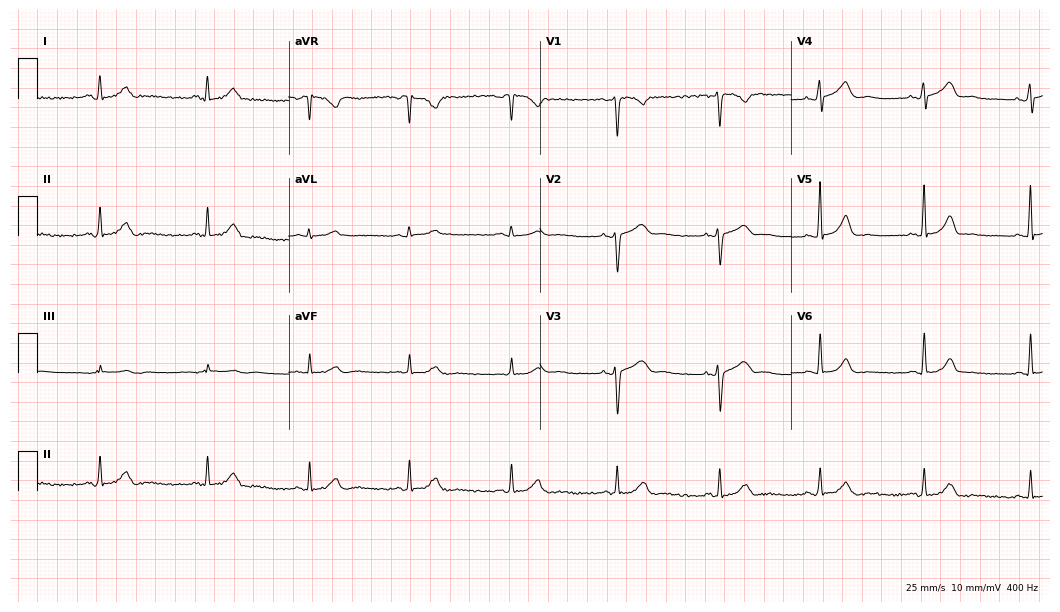
Standard 12-lead ECG recorded from a 33-year-old female (10.2-second recording at 400 Hz). Read as a normal ECG.